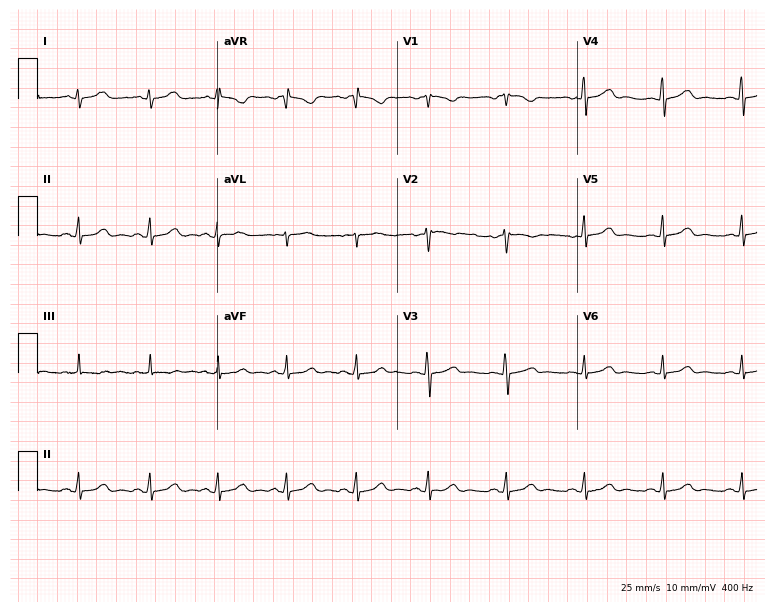
ECG (7.3-second recording at 400 Hz) — a 31-year-old female patient. Screened for six findings — first-degree AV block, right bundle branch block, left bundle branch block, sinus bradycardia, atrial fibrillation, sinus tachycardia — none is recorded. Only these six findings were labelled.